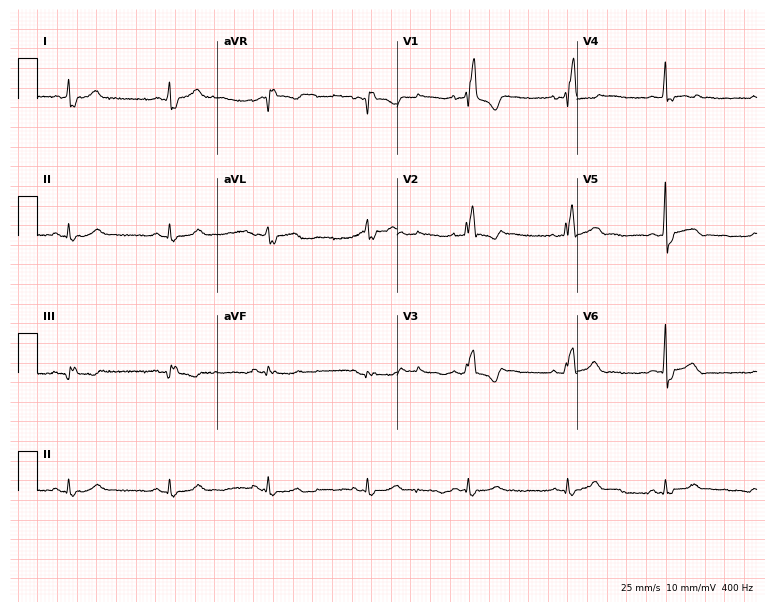
Electrocardiogram (7.3-second recording at 400 Hz), a man, 49 years old. Of the six screened findings (first-degree AV block, right bundle branch block, left bundle branch block, sinus bradycardia, atrial fibrillation, sinus tachycardia), none is recorded.